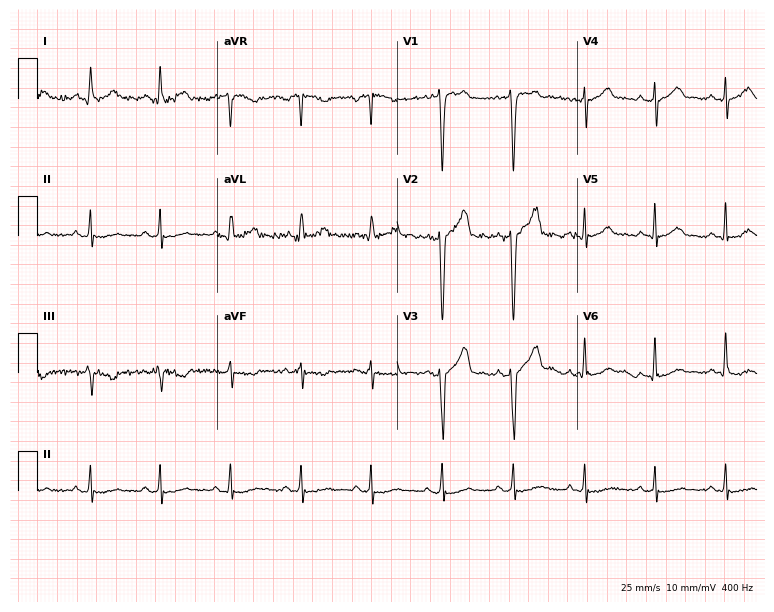
Electrocardiogram, a 40-year-old male. Of the six screened findings (first-degree AV block, right bundle branch block, left bundle branch block, sinus bradycardia, atrial fibrillation, sinus tachycardia), none is recorded.